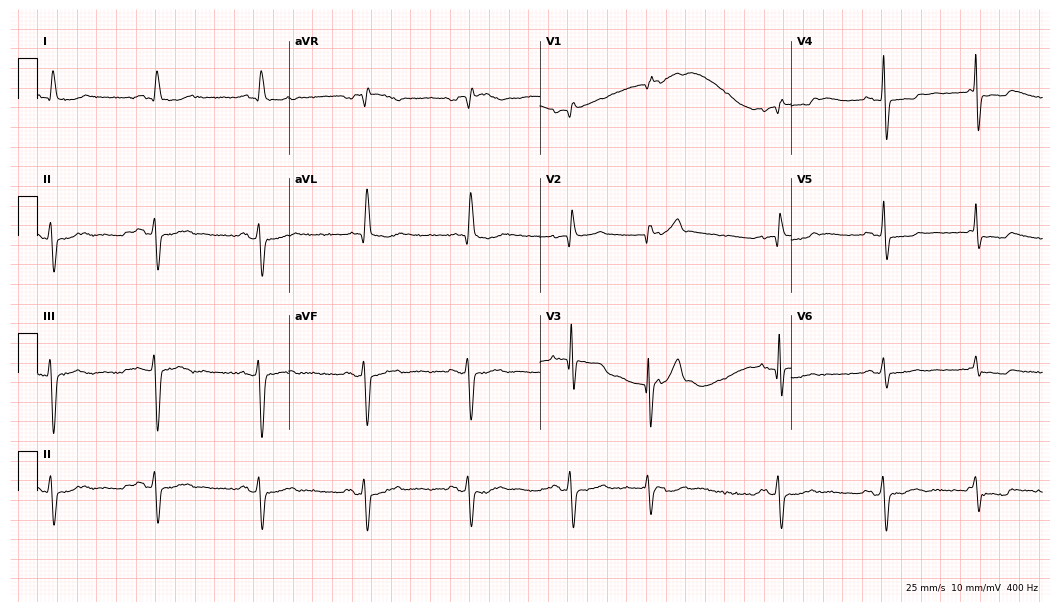
Standard 12-lead ECG recorded from a female, 80 years old. None of these six findings is recorded: first-degree AV block, right bundle branch block (RBBB), left bundle branch block (LBBB), sinus bradycardia, atrial fibrillation (AF), sinus tachycardia. Findings outside these six are not listed.